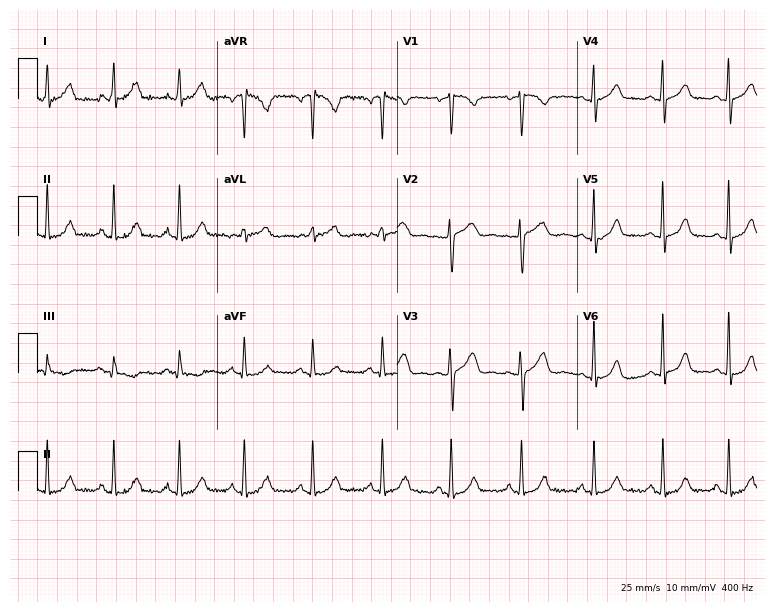
ECG — a female patient, 30 years old. Labelled as a normal ECG.